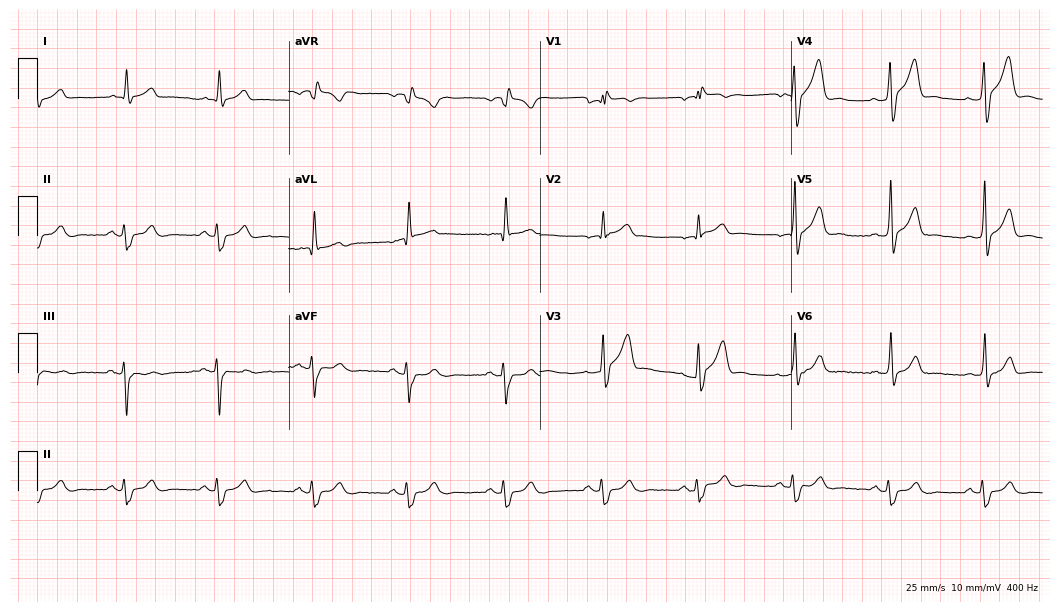
Standard 12-lead ECG recorded from a man, 60 years old (10.2-second recording at 400 Hz). The tracing shows right bundle branch block (RBBB).